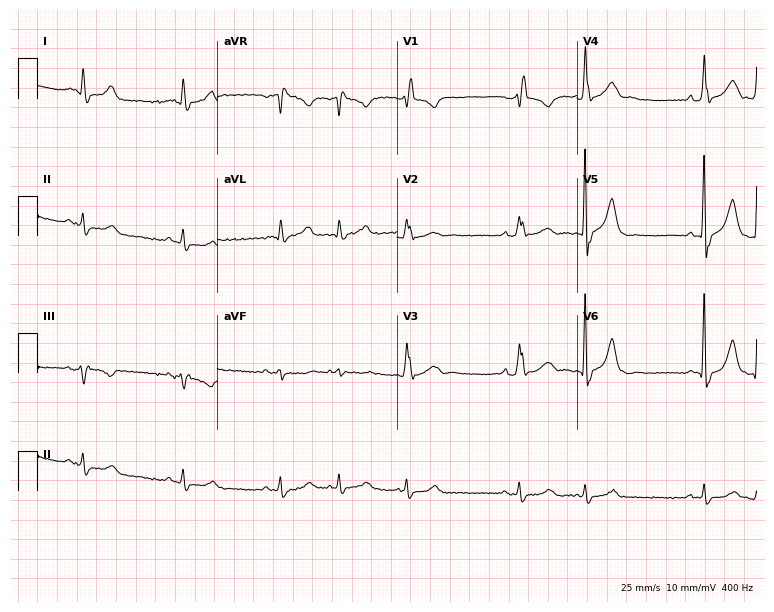
Resting 12-lead electrocardiogram (7.3-second recording at 400 Hz). Patient: a 78-year-old male. The tracing shows right bundle branch block.